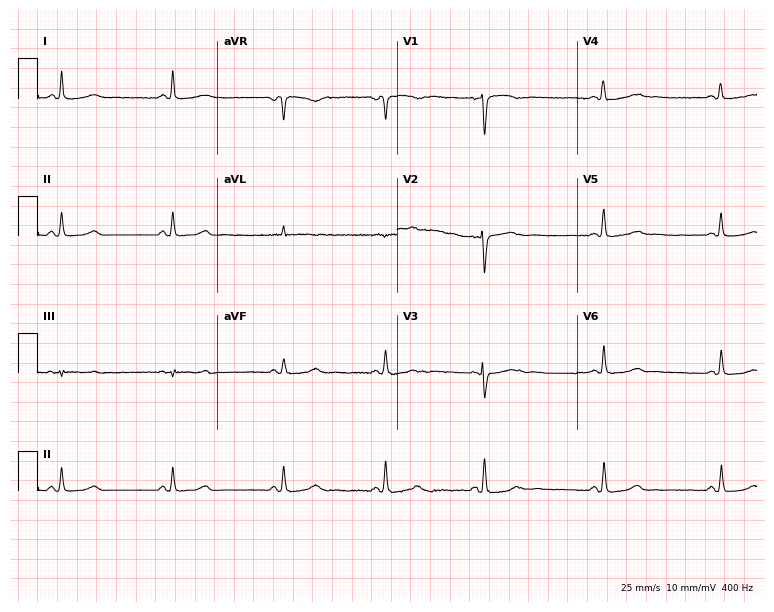
Electrocardiogram, a 48-year-old female patient. Of the six screened findings (first-degree AV block, right bundle branch block, left bundle branch block, sinus bradycardia, atrial fibrillation, sinus tachycardia), none is recorded. Other findings, if any, are not listed.